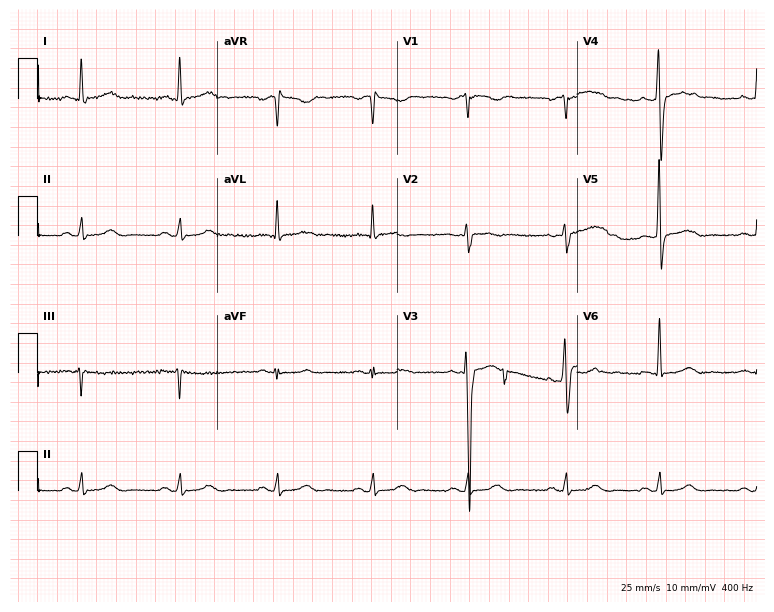
12-lead ECG from a 54-year-old female. Screened for six findings — first-degree AV block, right bundle branch block, left bundle branch block, sinus bradycardia, atrial fibrillation, sinus tachycardia — none is recorded.